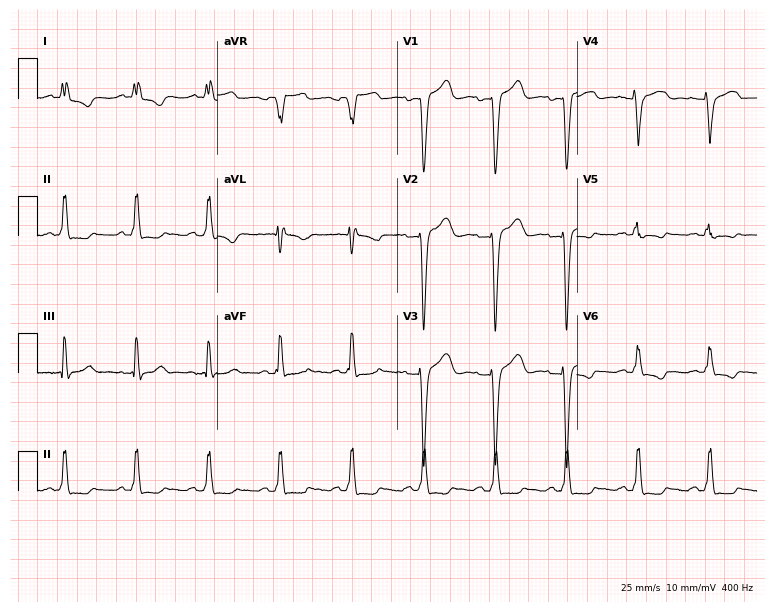
Standard 12-lead ECG recorded from a female, 79 years old (7.3-second recording at 400 Hz). The tracing shows left bundle branch block.